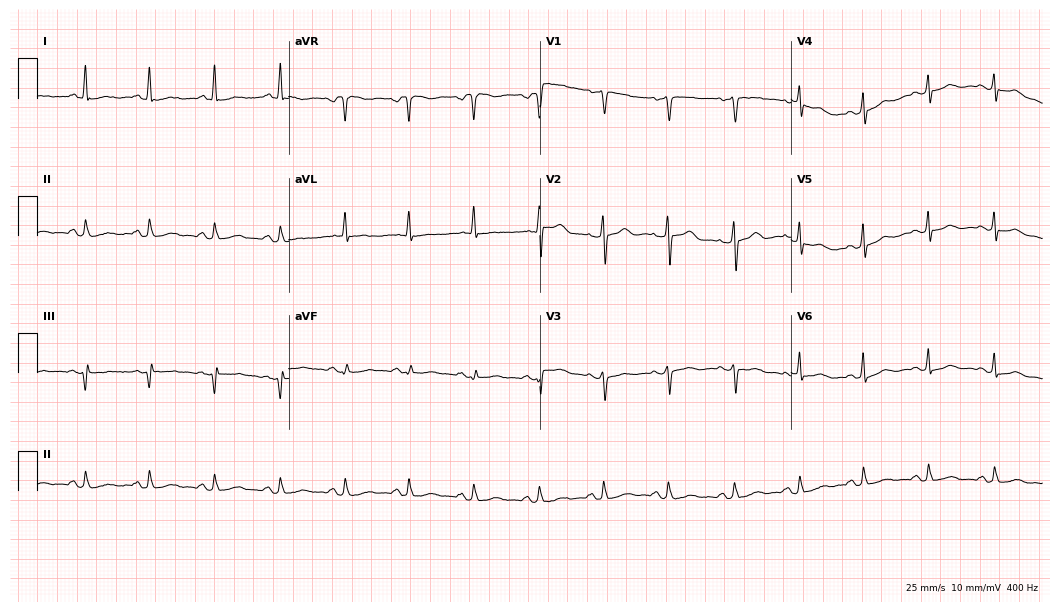
Electrocardiogram, a female patient, 59 years old. Of the six screened findings (first-degree AV block, right bundle branch block (RBBB), left bundle branch block (LBBB), sinus bradycardia, atrial fibrillation (AF), sinus tachycardia), none is recorded. Findings outside these six are not listed.